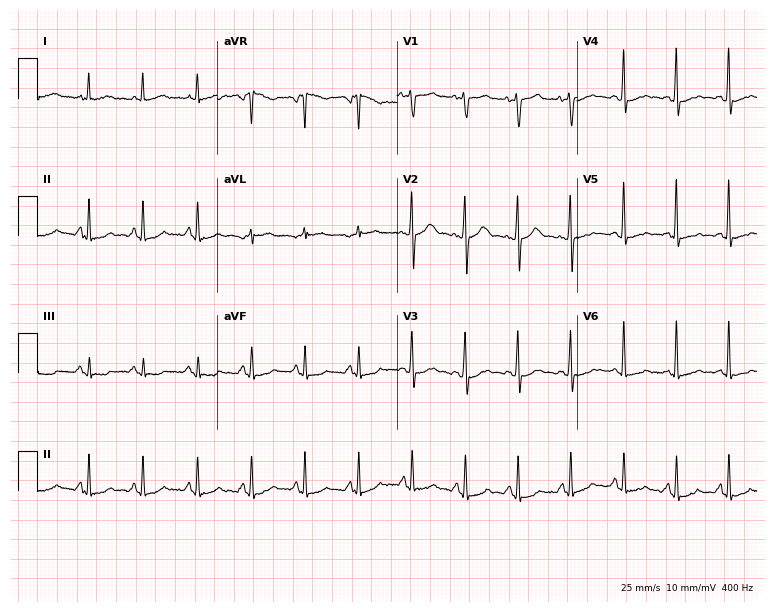
12-lead ECG from a man, 49 years old (7.3-second recording at 400 Hz). Shows sinus tachycardia (a sinus rate of 100 beats per minute or more).